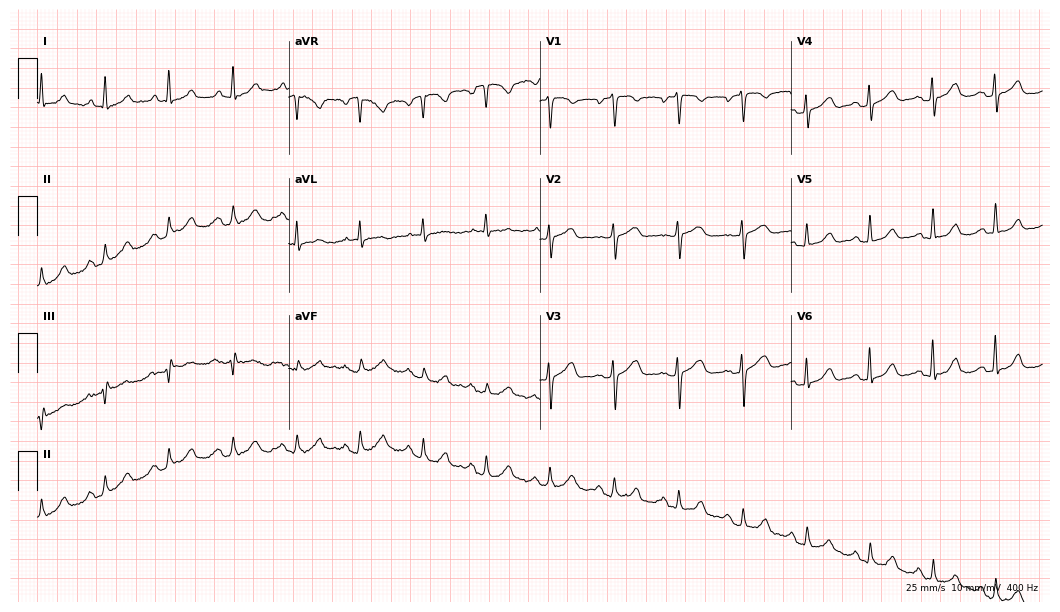
12-lead ECG from a female patient, 72 years old. No first-degree AV block, right bundle branch block, left bundle branch block, sinus bradycardia, atrial fibrillation or sinus tachycardia recorded for this tracing. Other findings, if any, are not listed.